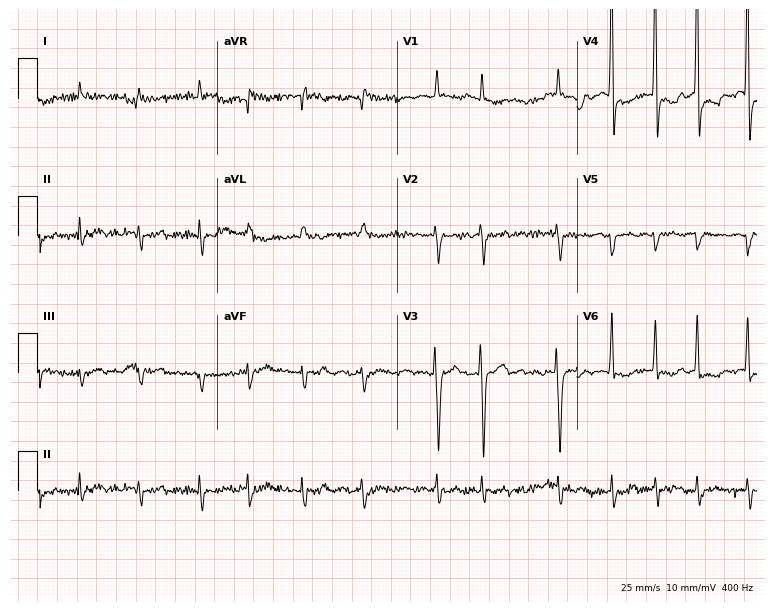
Electrocardiogram (7.3-second recording at 400 Hz), a man, 85 years old. Of the six screened findings (first-degree AV block, right bundle branch block (RBBB), left bundle branch block (LBBB), sinus bradycardia, atrial fibrillation (AF), sinus tachycardia), none is recorded. Only these six findings were labelled.